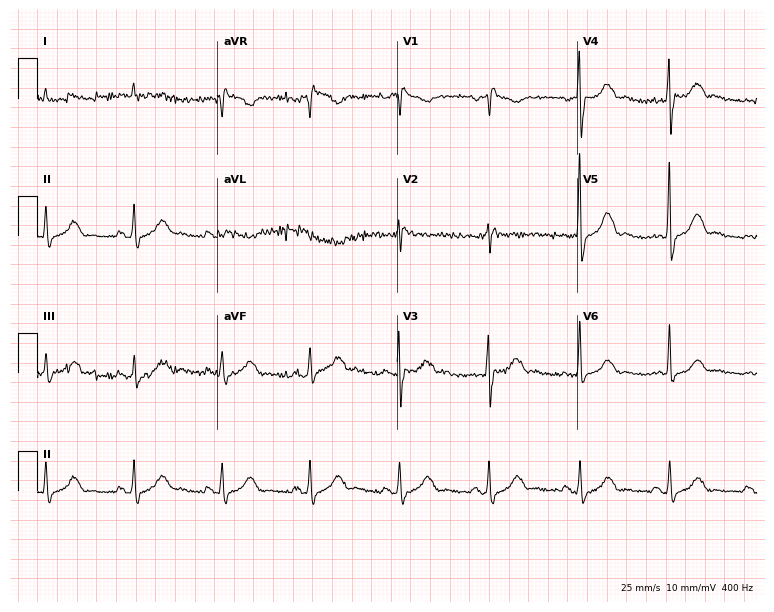
Electrocardiogram, an 84-year-old male patient. Interpretation includes right bundle branch block (RBBB).